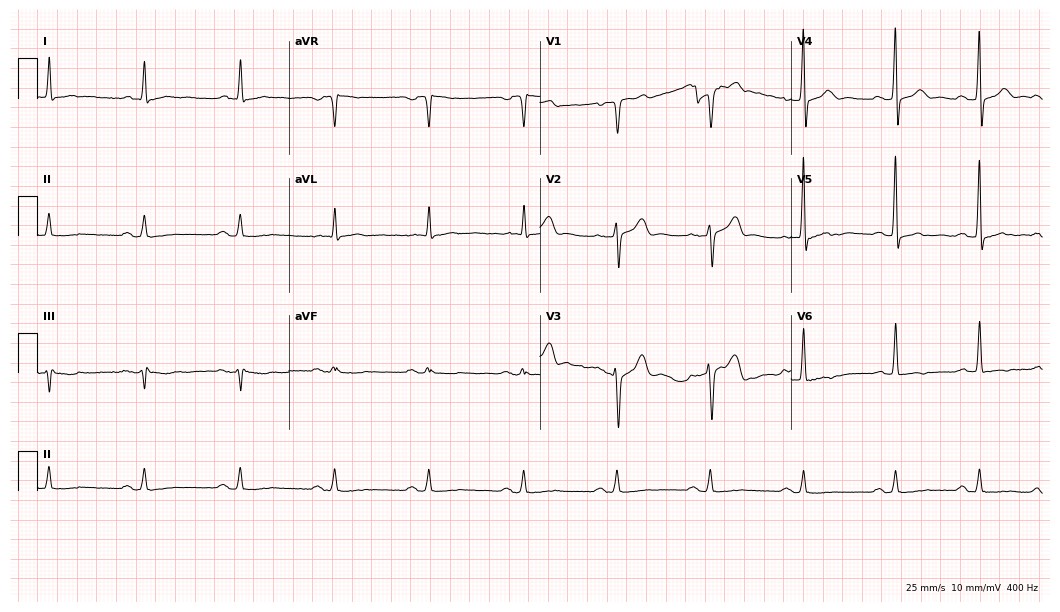
Resting 12-lead electrocardiogram. Patient: a 76-year-old male. None of these six findings is recorded: first-degree AV block, right bundle branch block, left bundle branch block, sinus bradycardia, atrial fibrillation, sinus tachycardia. Only these six findings were labelled.